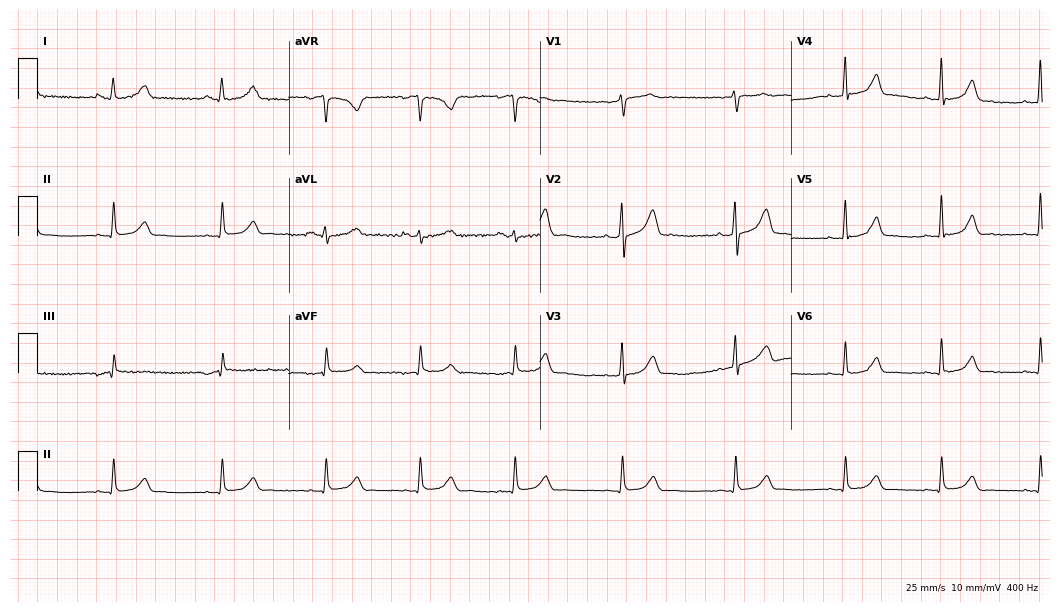
12-lead ECG from a 40-year-old woman. Recorded interpretation: within normal limits.